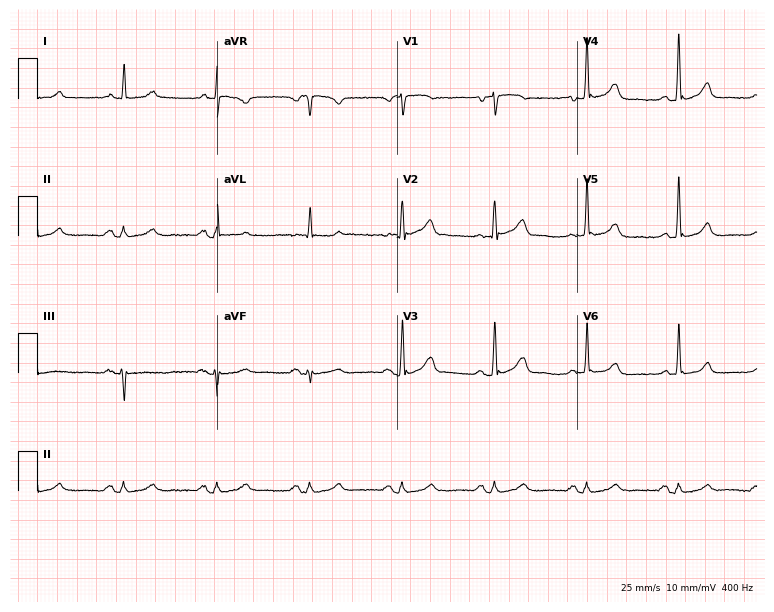
Standard 12-lead ECG recorded from a 77-year-old man. Read as a normal ECG.